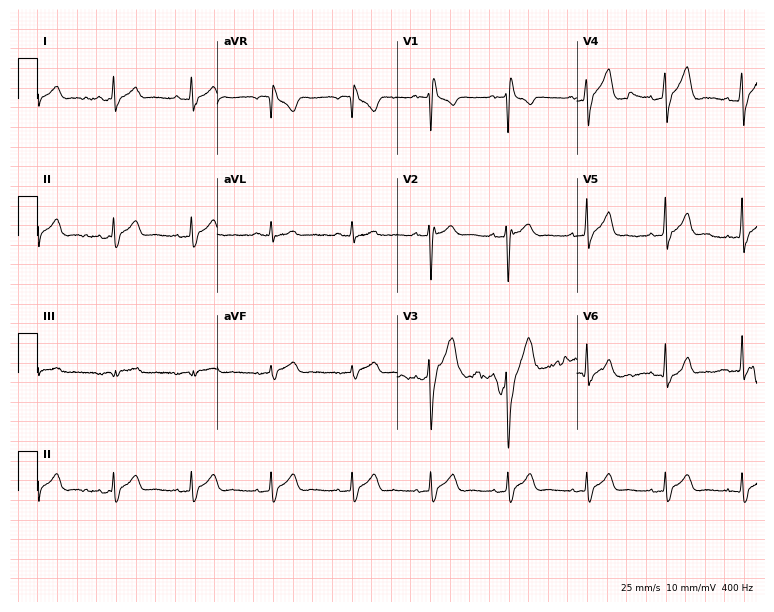
Standard 12-lead ECG recorded from a man, 24 years old (7.3-second recording at 400 Hz). None of these six findings is recorded: first-degree AV block, right bundle branch block, left bundle branch block, sinus bradycardia, atrial fibrillation, sinus tachycardia. Findings outside these six are not listed.